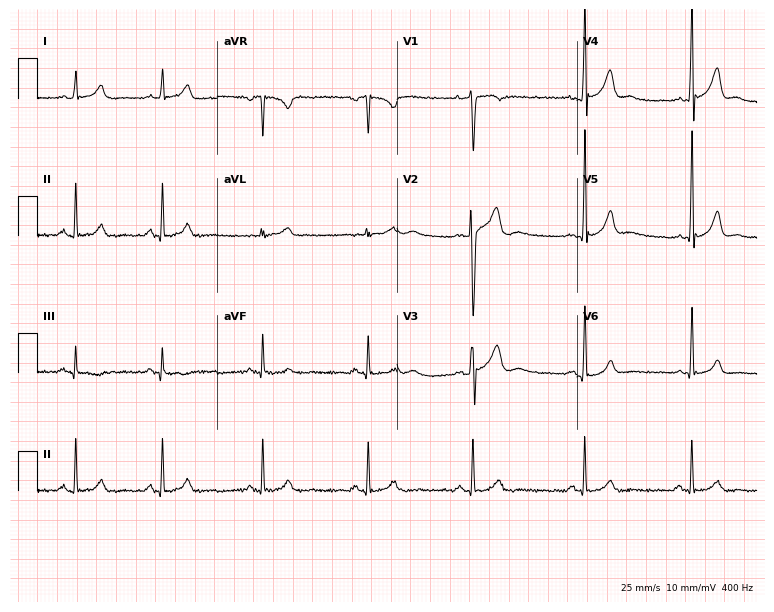
12-lead ECG from a 27-year-old male patient. Screened for six findings — first-degree AV block, right bundle branch block, left bundle branch block, sinus bradycardia, atrial fibrillation, sinus tachycardia — none is recorded.